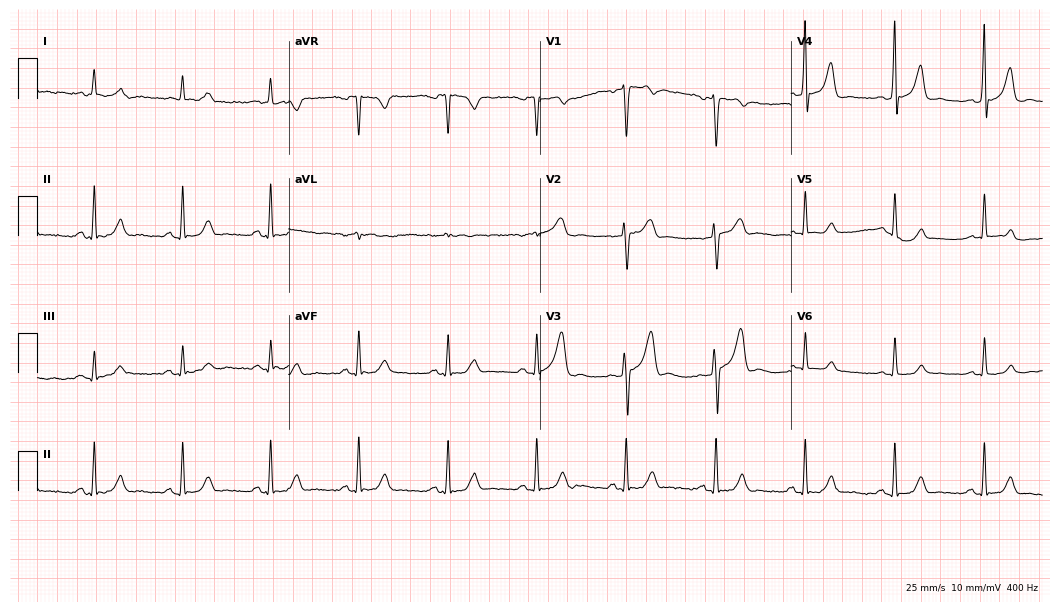
Standard 12-lead ECG recorded from a 75-year-old woman (10.2-second recording at 400 Hz). Read as a normal ECG.